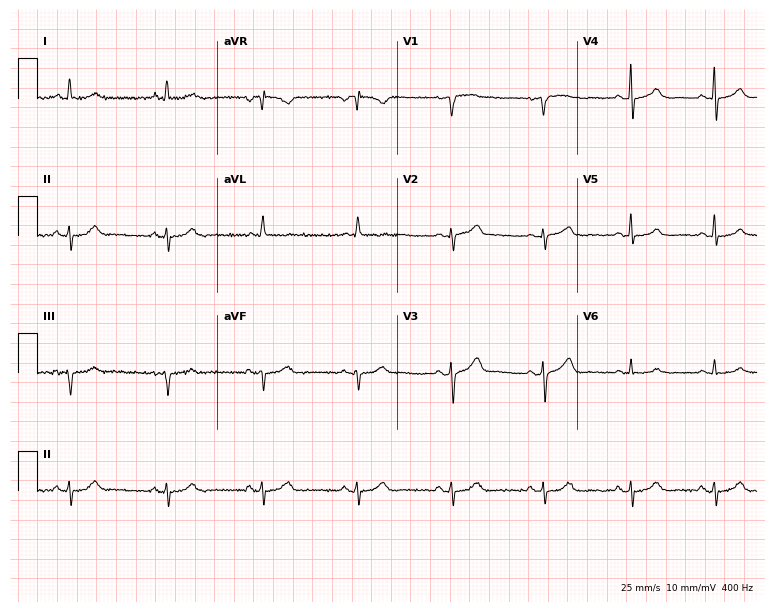
Electrocardiogram, a 79-year-old man. Of the six screened findings (first-degree AV block, right bundle branch block, left bundle branch block, sinus bradycardia, atrial fibrillation, sinus tachycardia), none is recorded.